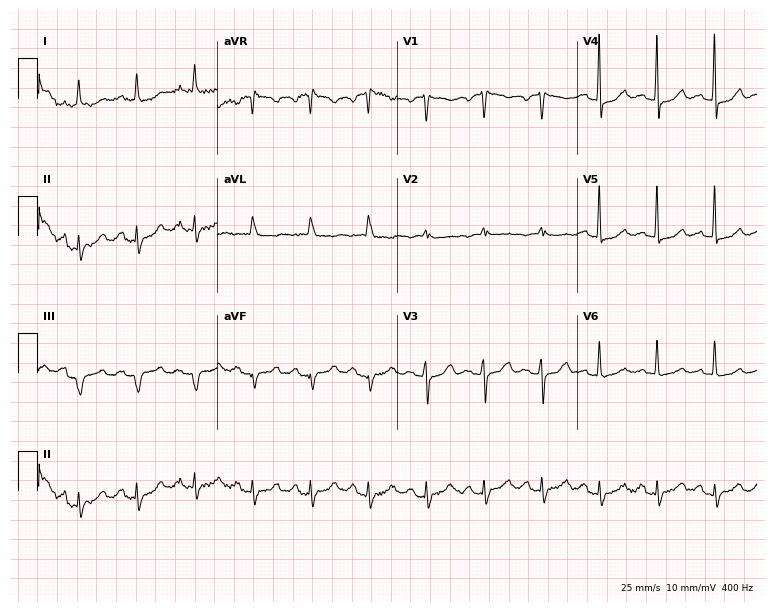
12-lead ECG from an 82-year-old woman (7.3-second recording at 400 Hz). No first-degree AV block, right bundle branch block, left bundle branch block, sinus bradycardia, atrial fibrillation or sinus tachycardia recorded for this tracing.